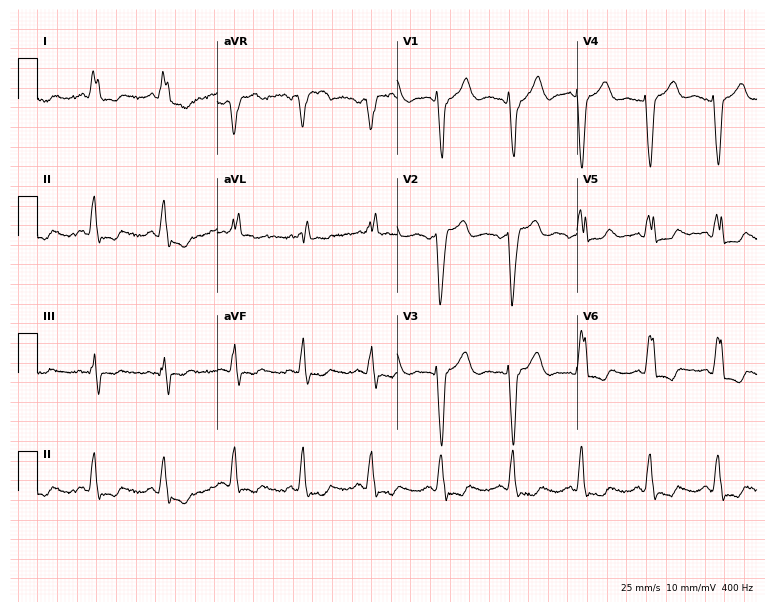
12-lead ECG from a woman, 84 years old (7.3-second recording at 400 Hz). Shows left bundle branch block.